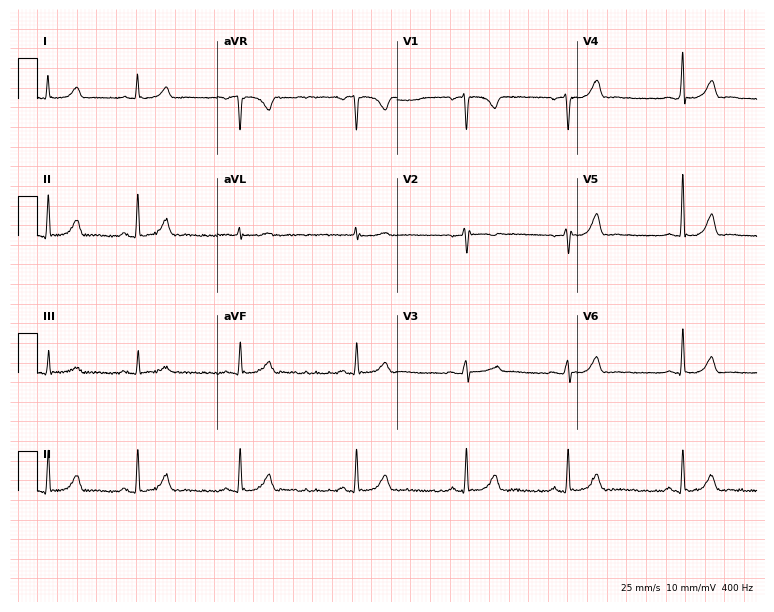
12-lead ECG from a woman, 23 years old (7.3-second recording at 400 Hz). Recorded interpretation: within normal limits.